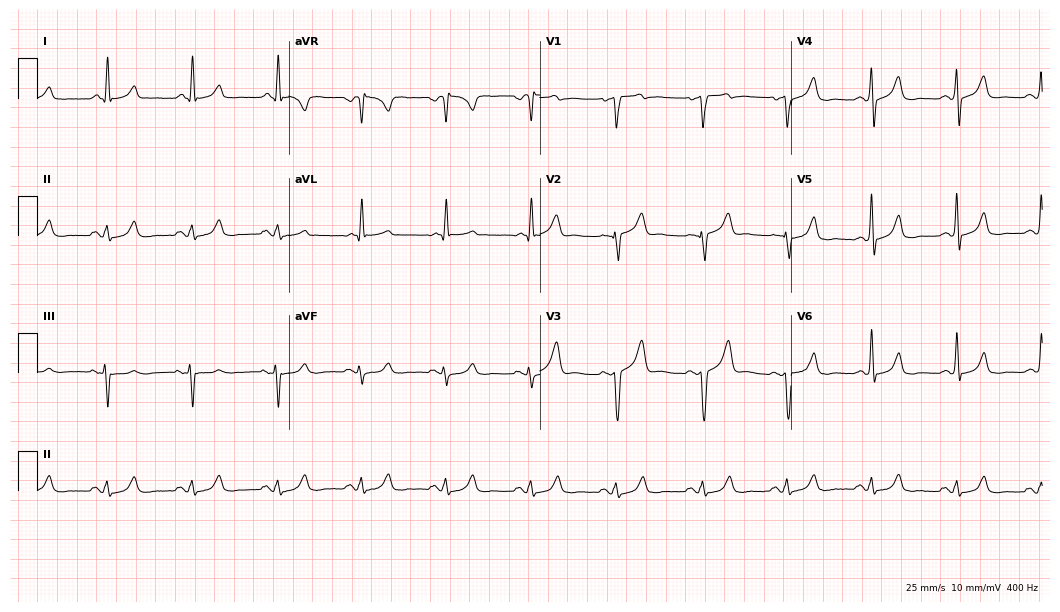
12-lead ECG from a 62-year-old male patient. Screened for six findings — first-degree AV block, right bundle branch block, left bundle branch block, sinus bradycardia, atrial fibrillation, sinus tachycardia — none is recorded.